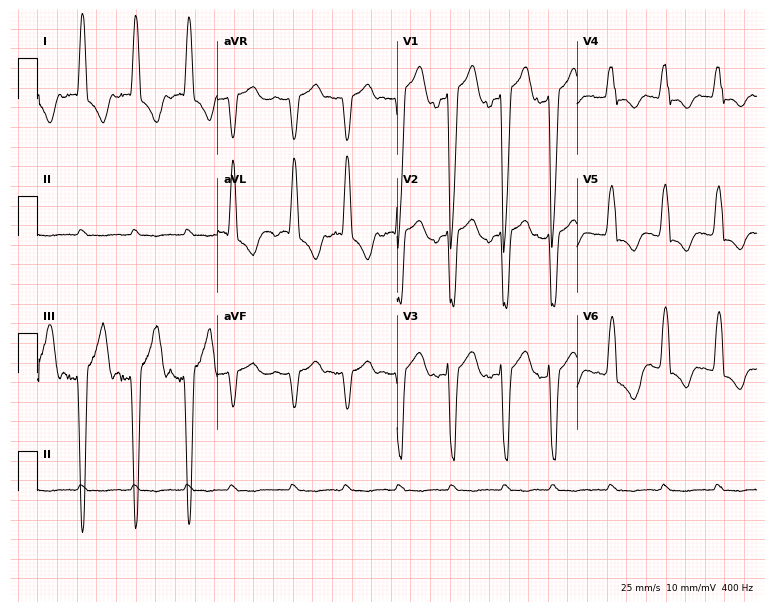
Electrocardiogram (7.3-second recording at 400 Hz), a woman, 64 years old. Interpretation includes left bundle branch block.